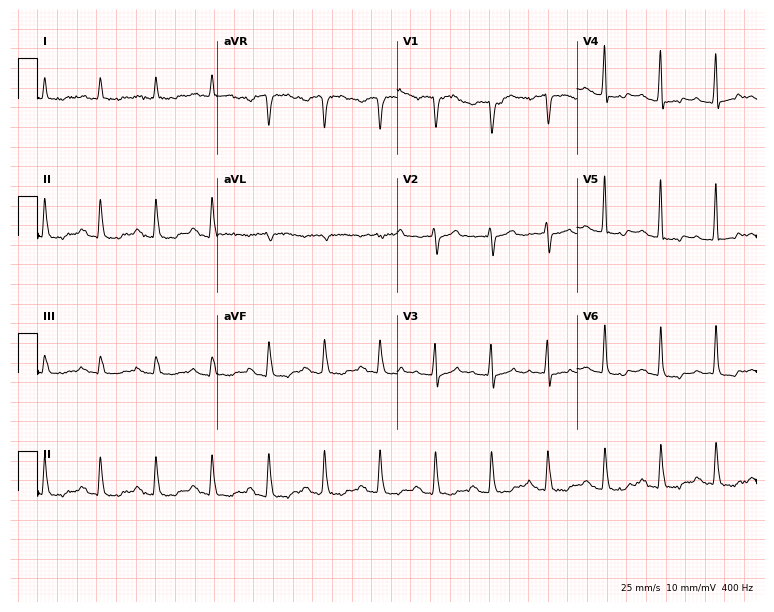
Electrocardiogram, a male patient, 75 years old. Of the six screened findings (first-degree AV block, right bundle branch block, left bundle branch block, sinus bradycardia, atrial fibrillation, sinus tachycardia), none is recorded.